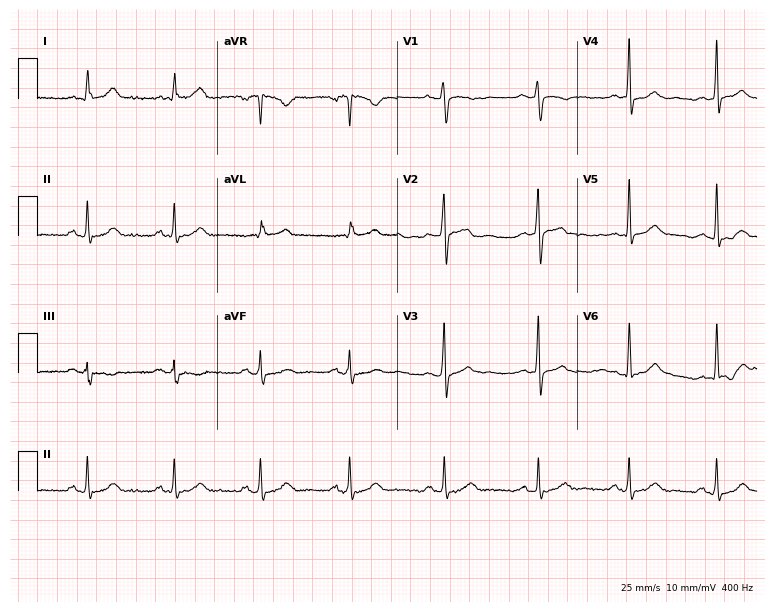
12-lead ECG (7.3-second recording at 400 Hz) from a male patient, 30 years old. Labelled as a normal ECG.